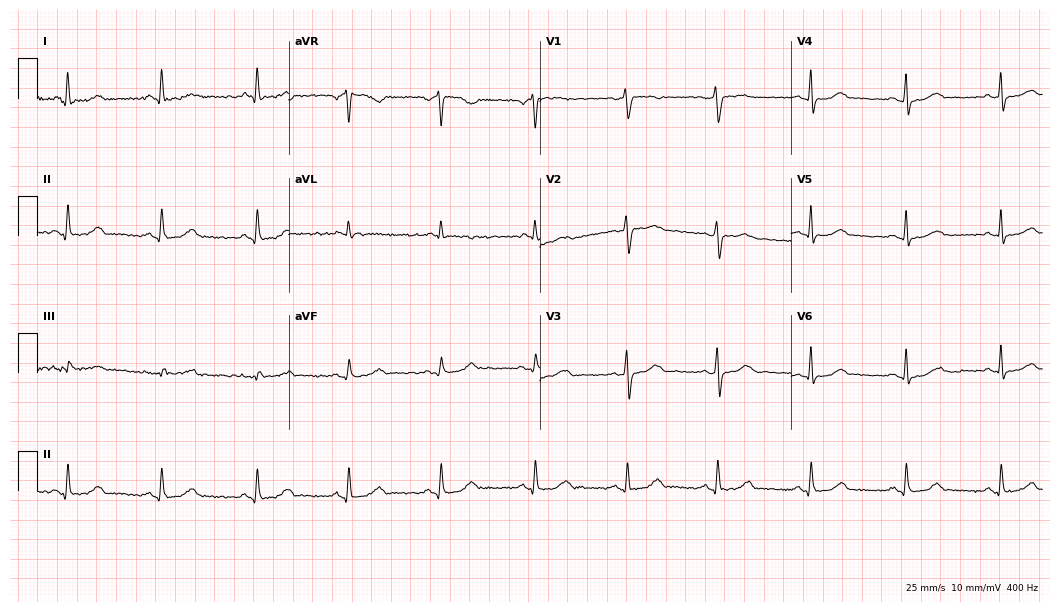
ECG — a 51-year-old female. Labelled as a normal ECG.